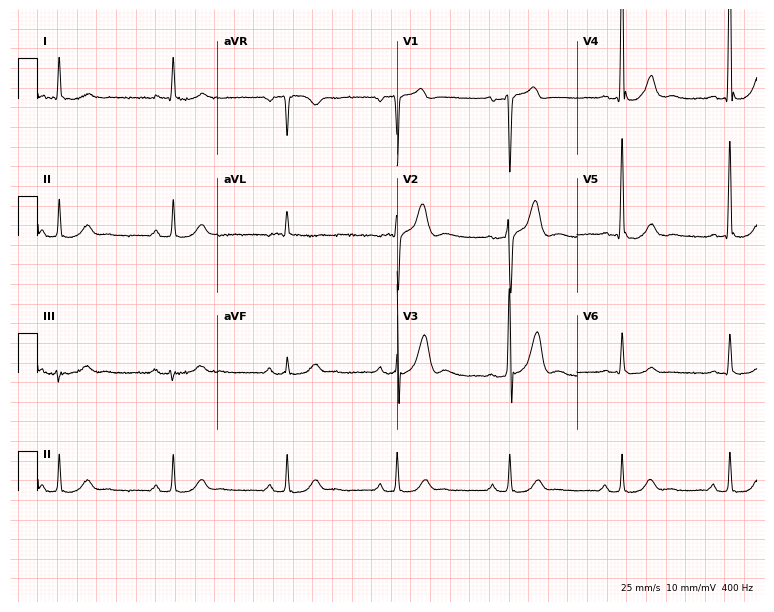
12-lead ECG (7.3-second recording at 400 Hz) from a 69-year-old male. Screened for six findings — first-degree AV block, right bundle branch block, left bundle branch block, sinus bradycardia, atrial fibrillation, sinus tachycardia — none is recorded. Only these six findings were labelled.